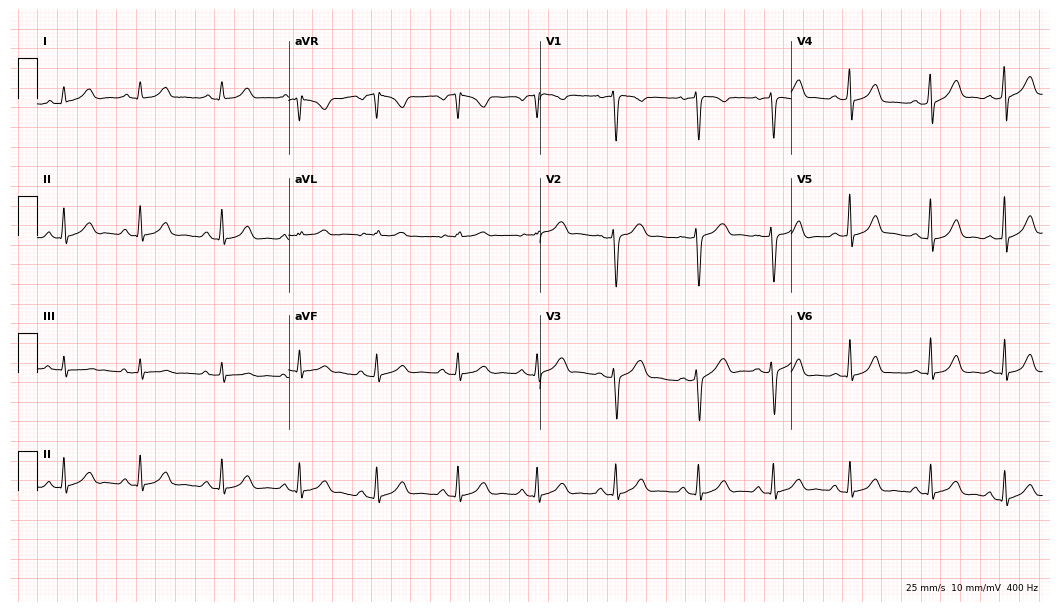
ECG (10.2-second recording at 400 Hz) — a female, 22 years old. Screened for six findings — first-degree AV block, right bundle branch block, left bundle branch block, sinus bradycardia, atrial fibrillation, sinus tachycardia — none is recorded.